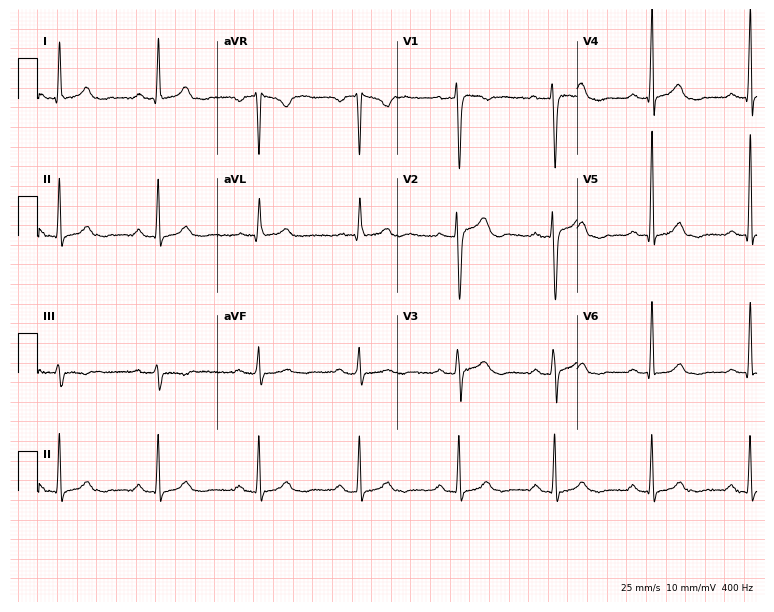
ECG (7.3-second recording at 400 Hz) — a female, 66 years old. Labelled as a normal ECG.